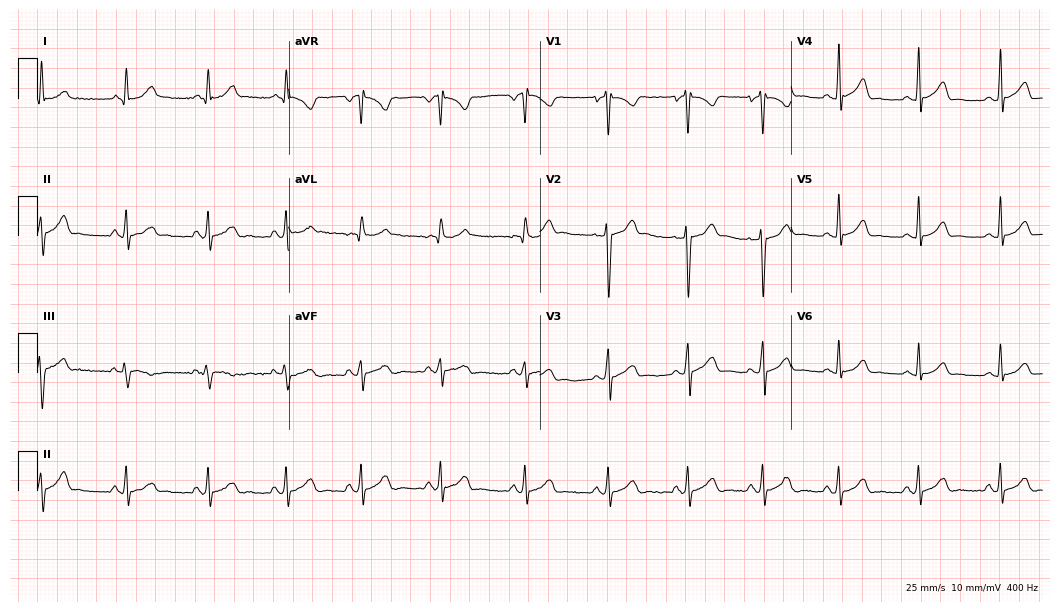
12-lead ECG from a female, 37 years old. Labelled as a normal ECG.